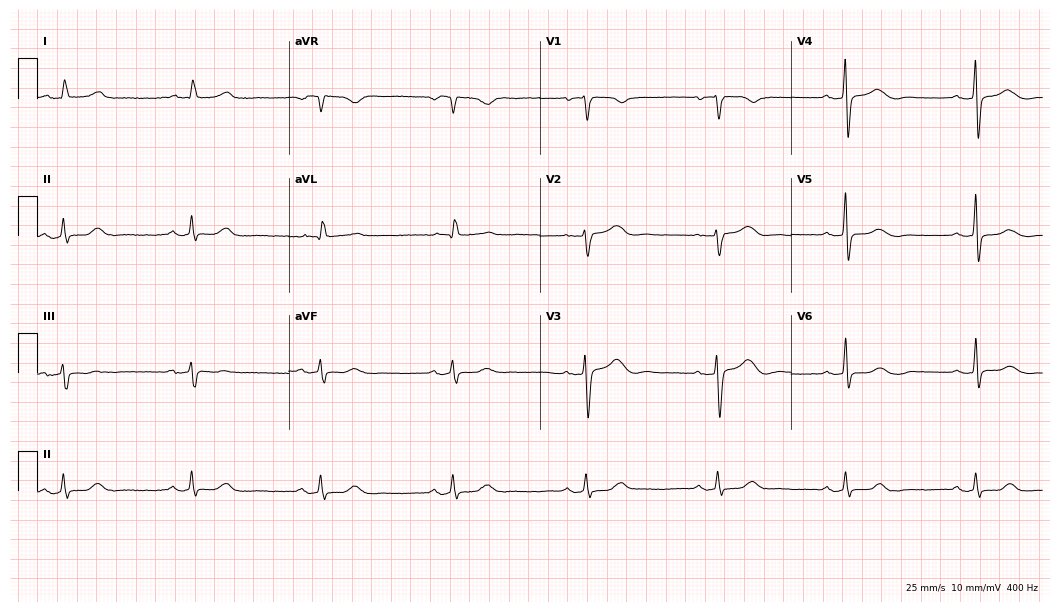
12-lead ECG from a female, 70 years old. Shows sinus bradycardia (a sinus rate of 50 beats per minute or less).